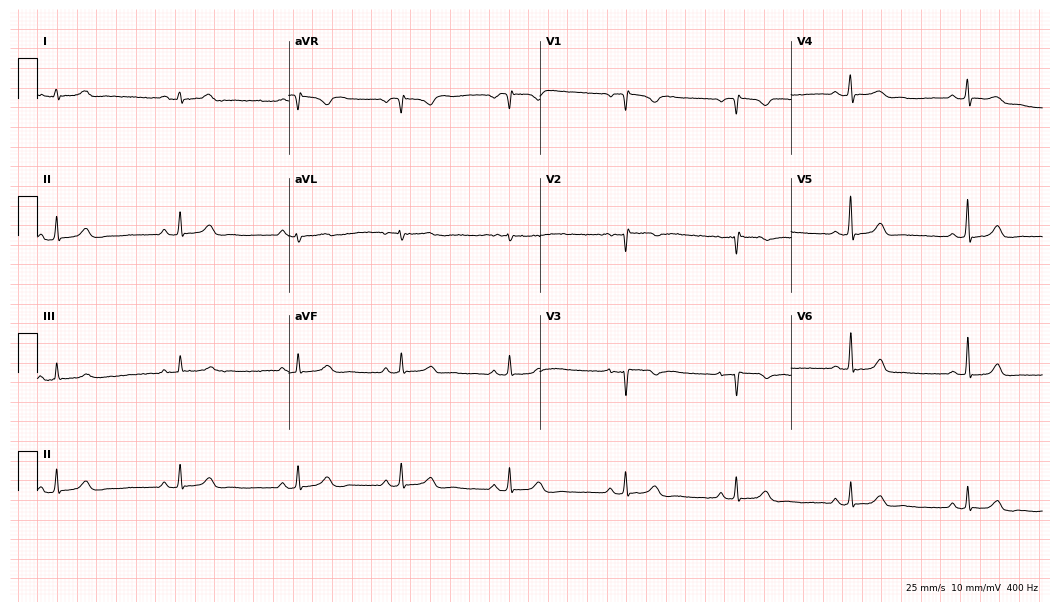
12-lead ECG from a woman, 20 years old. Recorded interpretation: within normal limits.